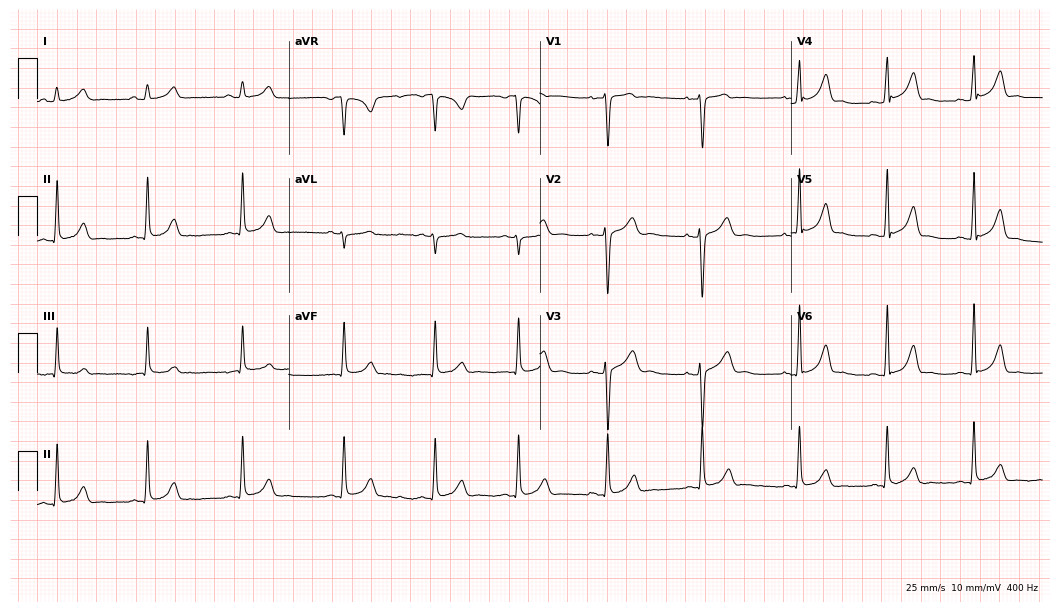
12-lead ECG (10.2-second recording at 400 Hz) from a 25-year-old woman. Screened for six findings — first-degree AV block, right bundle branch block, left bundle branch block, sinus bradycardia, atrial fibrillation, sinus tachycardia — none is recorded. Other findings, if any, are not listed.